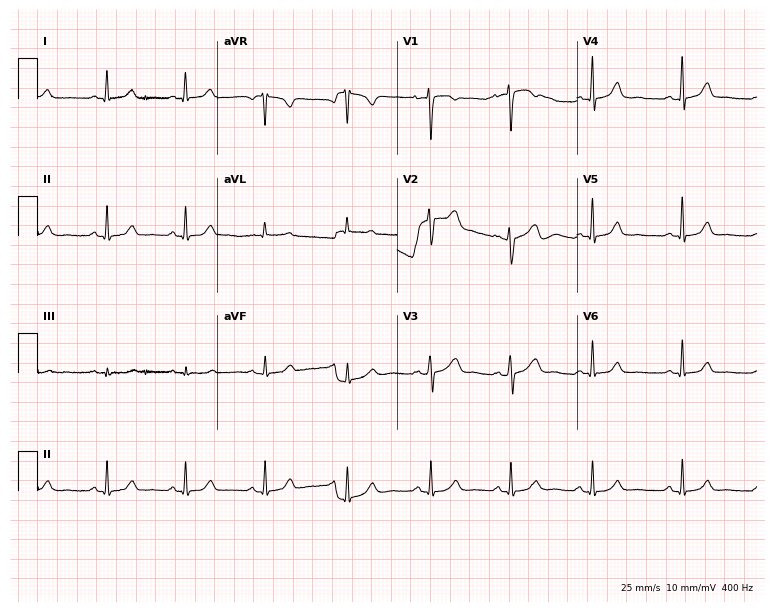
Resting 12-lead electrocardiogram (7.3-second recording at 400 Hz). Patient: a woman, 32 years old. Read as a normal ECG.